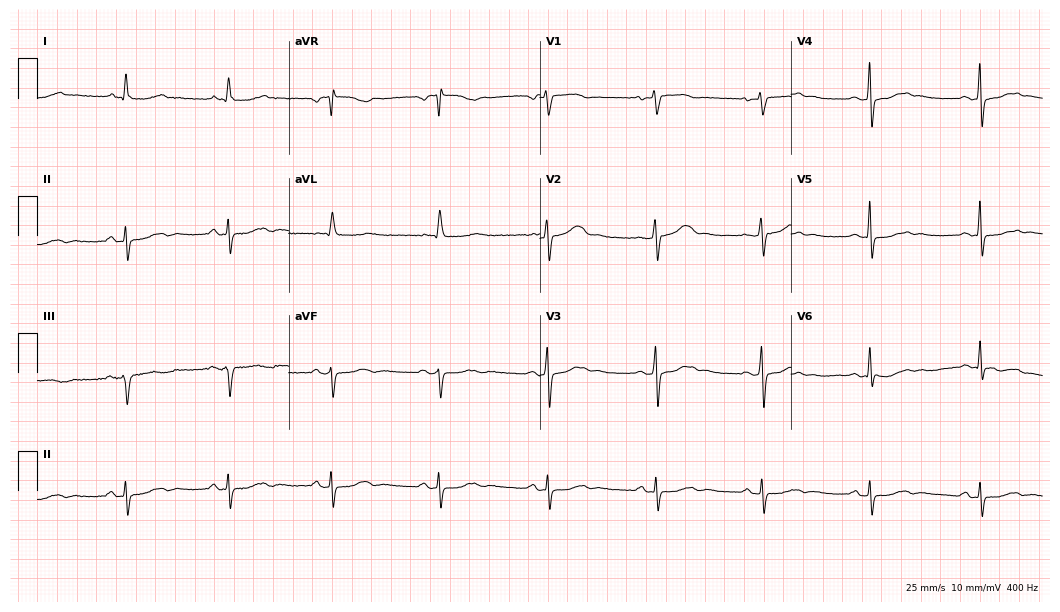
ECG — a 53-year-old female. Screened for six findings — first-degree AV block, right bundle branch block, left bundle branch block, sinus bradycardia, atrial fibrillation, sinus tachycardia — none is recorded. Other findings, if any, are not listed.